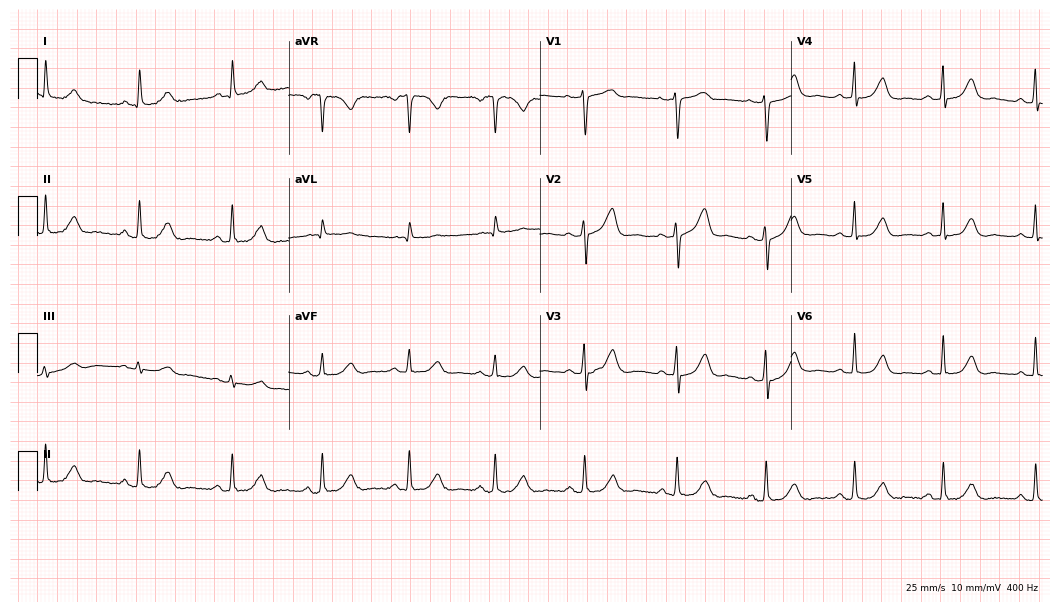
ECG (10.2-second recording at 400 Hz) — a 63-year-old female. Screened for six findings — first-degree AV block, right bundle branch block, left bundle branch block, sinus bradycardia, atrial fibrillation, sinus tachycardia — none is recorded.